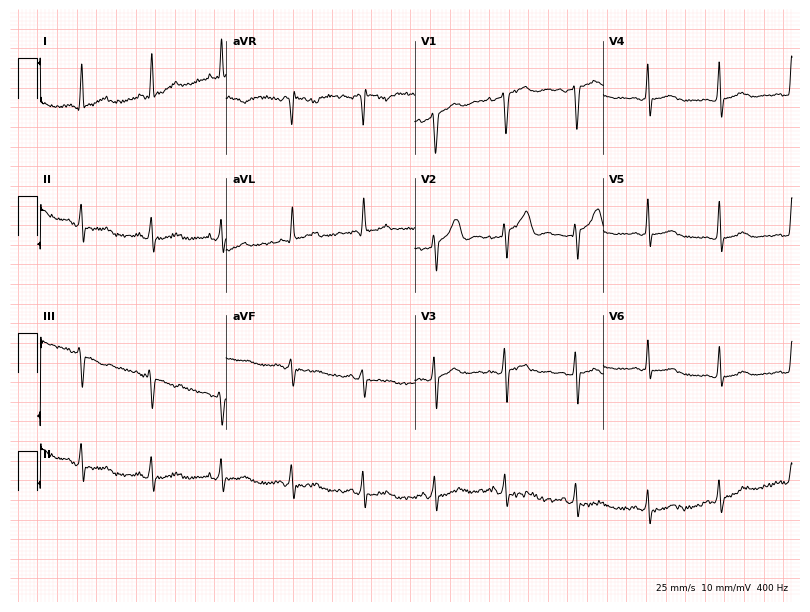
Standard 12-lead ECG recorded from a female patient, 31 years old (7.7-second recording at 400 Hz). Read as a normal ECG.